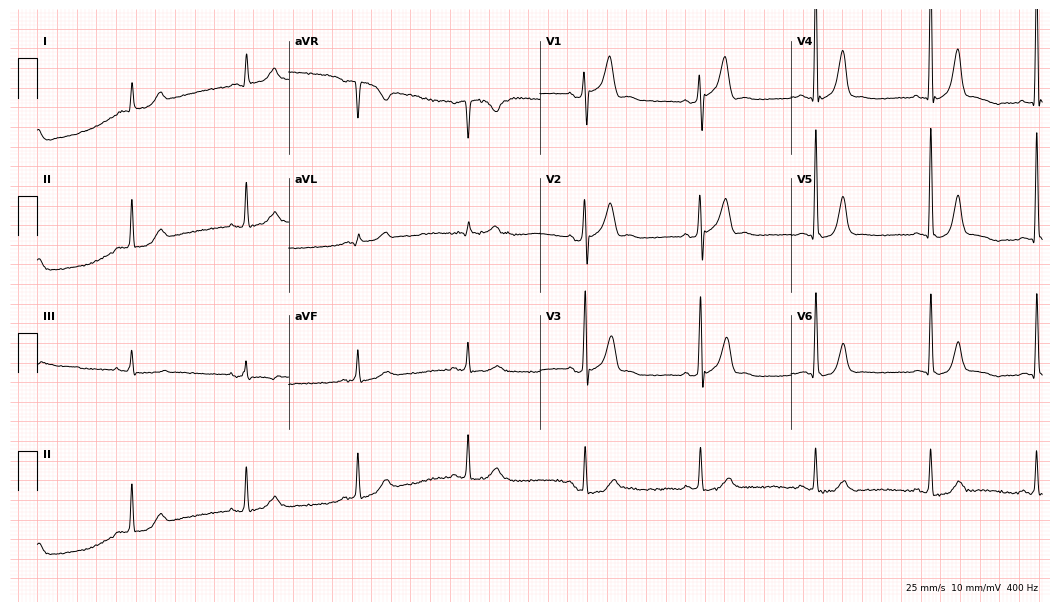
12-lead ECG from a man, 77 years old. Screened for six findings — first-degree AV block, right bundle branch block, left bundle branch block, sinus bradycardia, atrial fibrillation, sinus tachycardia — none is recorded.